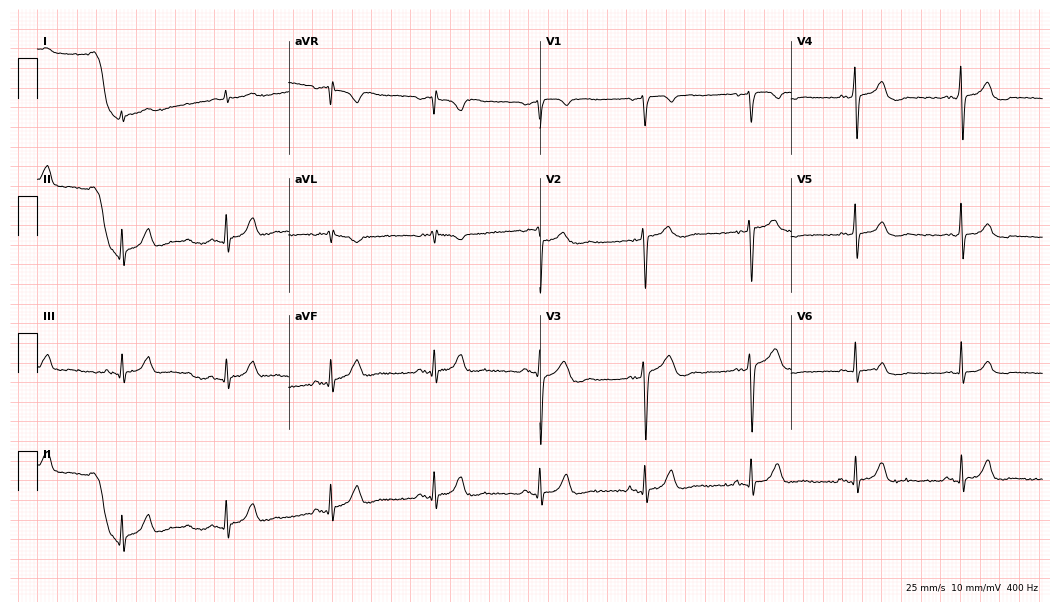
12-lead ECG (10.2-second recording at 400 Hz) from a man, 67 years old. Labelled as a normal ECG.